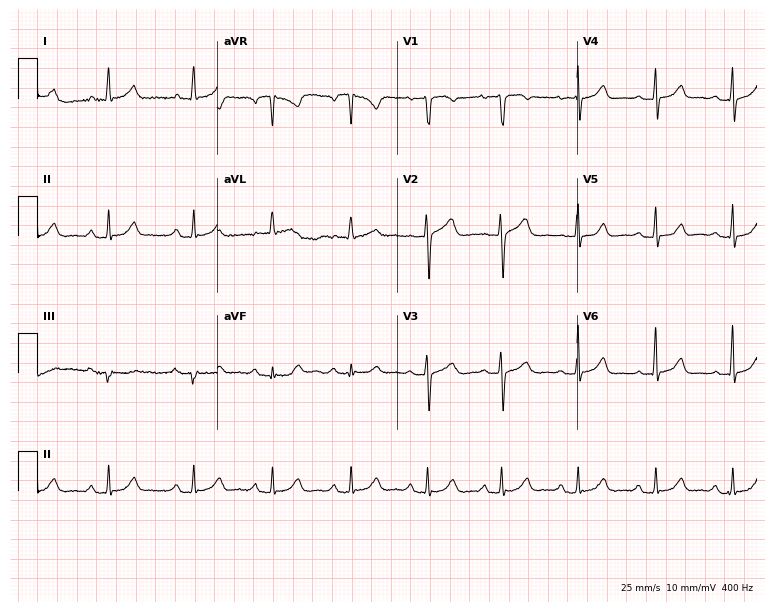
Resting 12-lead electrocardiogram. Patient: a woman, 61 years old. Read as a normal ECG.